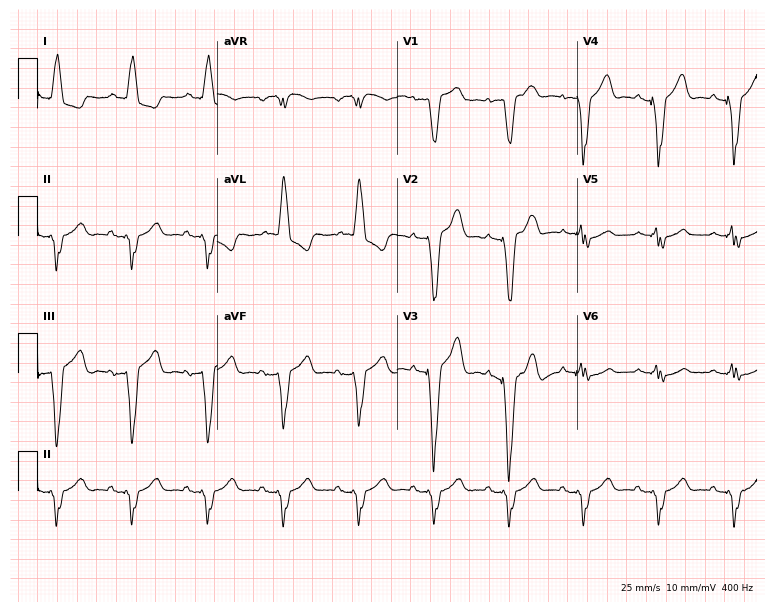
Standard 12-lead ECG recorded from a female patient, 70 years old (7.3-second recording at 400 Hz). None of these six findings is recorded: first-degree AV block, right bundle branch block, left bundle branch block, sinus bradycardia, atrial fibrillation, sinus tachycardia.